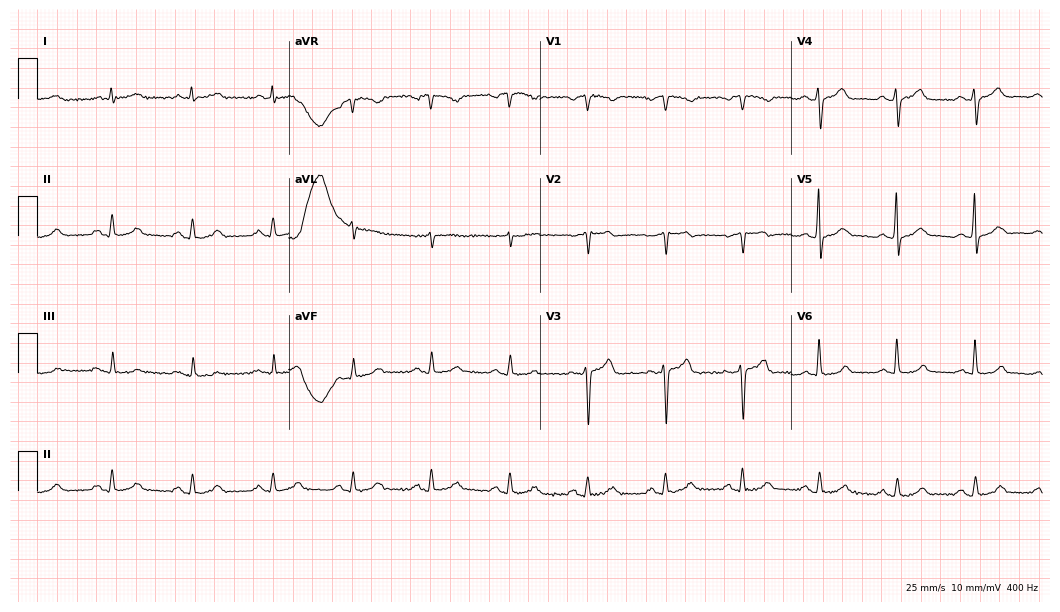
12-lead ECG (10.2-second recording at 400 Hz) from a 62-year-old man. Screened for six findings — first-degree AV block, right bundle branch block (RBBB), left bundle branch block (LBBB), sinus bradycardia, atrial fibrillation (AF), sinus tachycardia — none is recorded.